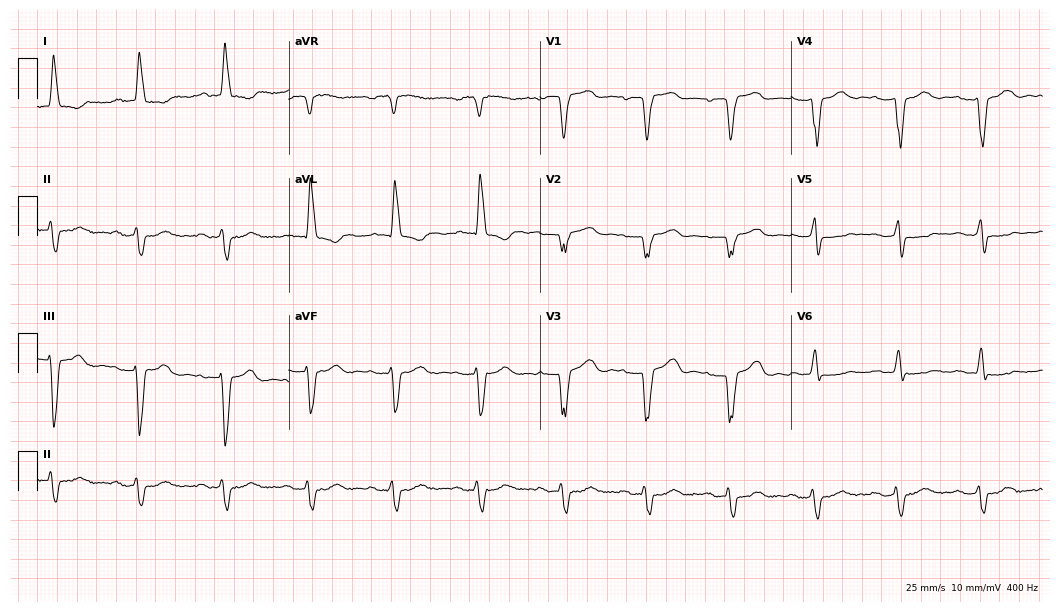
12-lead ECG (10.2-second recording at 400 Hz) from a woman, 78 years old. Findings include first-degree AV block, left bundle branch block.